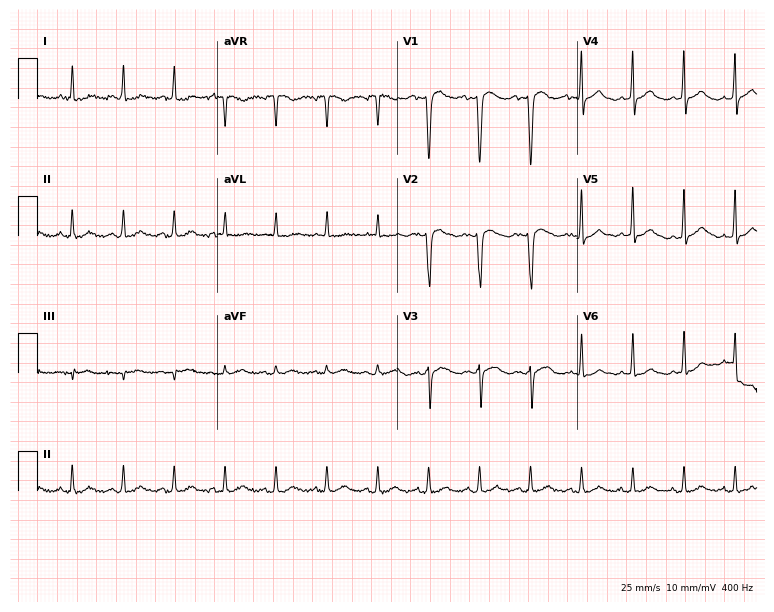
Standard 12-lead ECG recorded from a 47-year-old female (7.3-second recording at 400 Hz). None of these six findings is recorded: first-degree AV block, right bundle branch block (RBBB), left bundle branch block (LBBB), sinus bradycardia, atrial fibrillation (AF), sinus tachycardia.